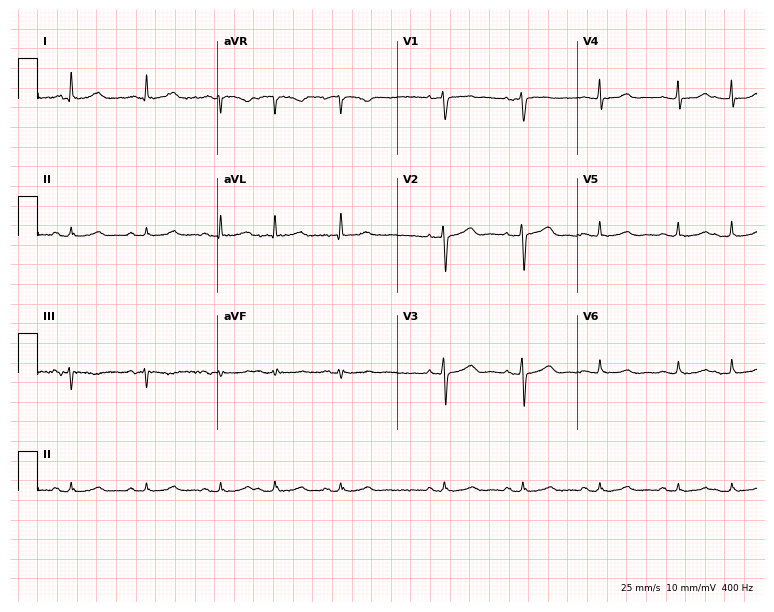
12-lead ECG from a female, 67 years old. Screened for six findings — first-degree AV block, right bundle branch block, left bundle branch block, sinus bradycardia, atrial fibrillation, sinus tachycardia — none is recorded.